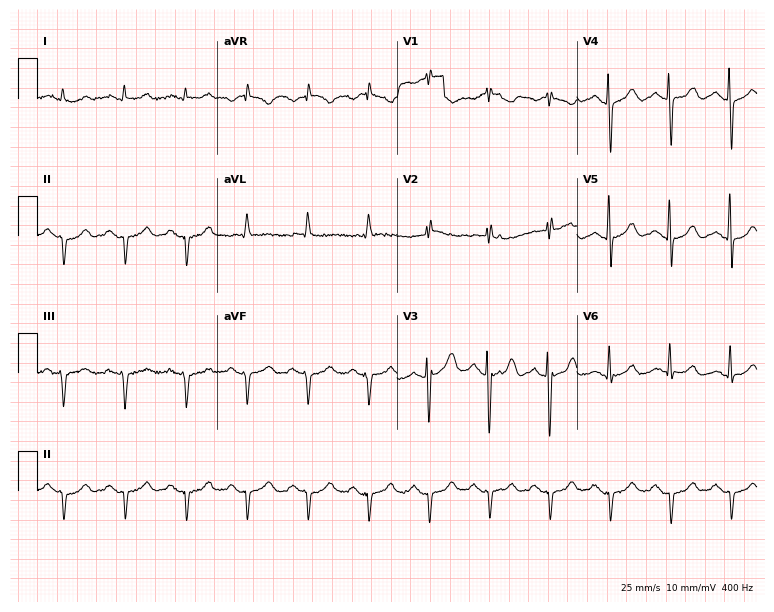
Electrocardiogram, a 76-year-old male. Of the six screened findings (first-degree AV block, right bundle branch block (RBBB), left bundle branch block (LBBB), sinus bradycardia, atrial fibrillation (AF), sinus tachycardia), none is recorded. Other findings, if any, are not listed.